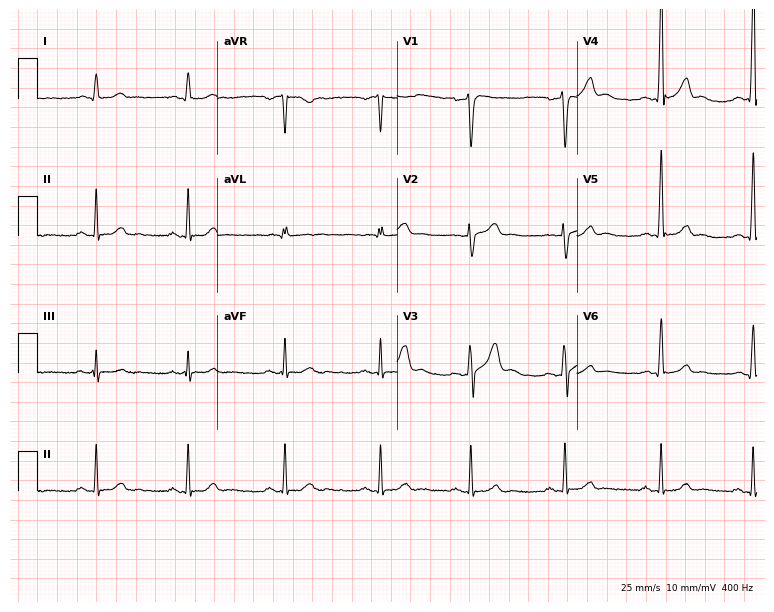
12-lead ECG from a 33-year-old male patient. Labelled as a normal ECG.